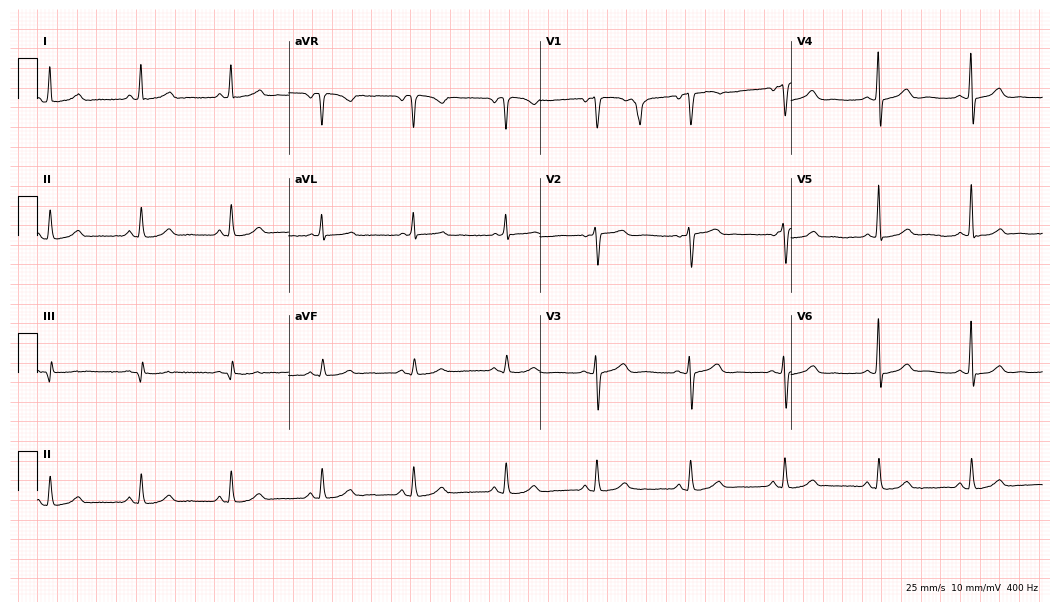
Resting 12-lead electrocardiogram (10.2-second recording at 400 Hz). Patient: a 47-year-old female. Read as a normal ECG.